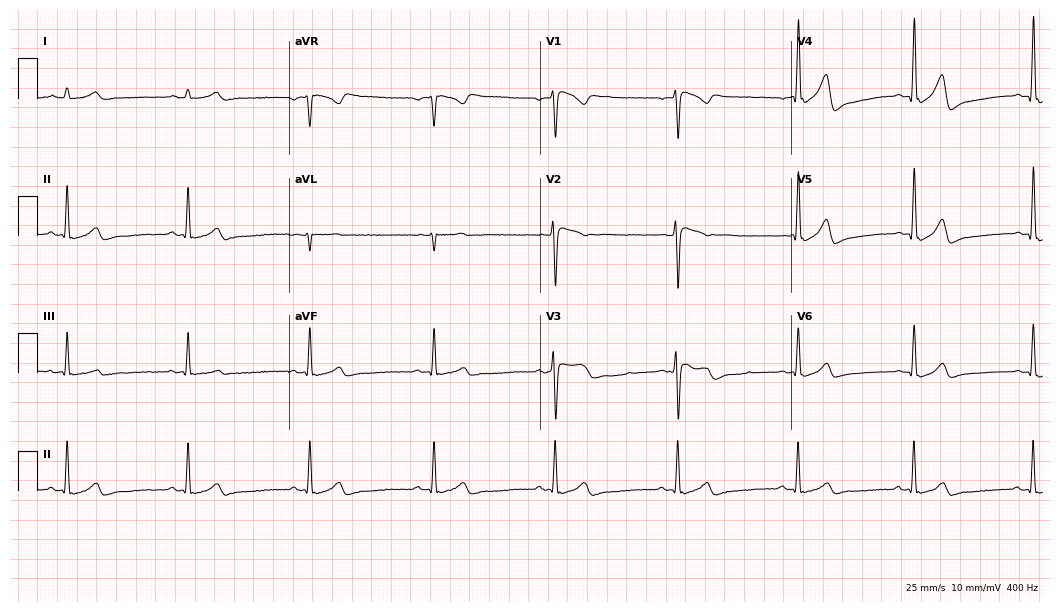
Electrocardiogram (10.2-second recording at 400 Hz), a man, 28 years old. Of the six screened findings (first-degree AV block, right bundle branch block, left bundle branch block, sinus bradycardia, atrial fibrillation, sinus tachycardia), none is recorded. Findings outside these six are not listed.